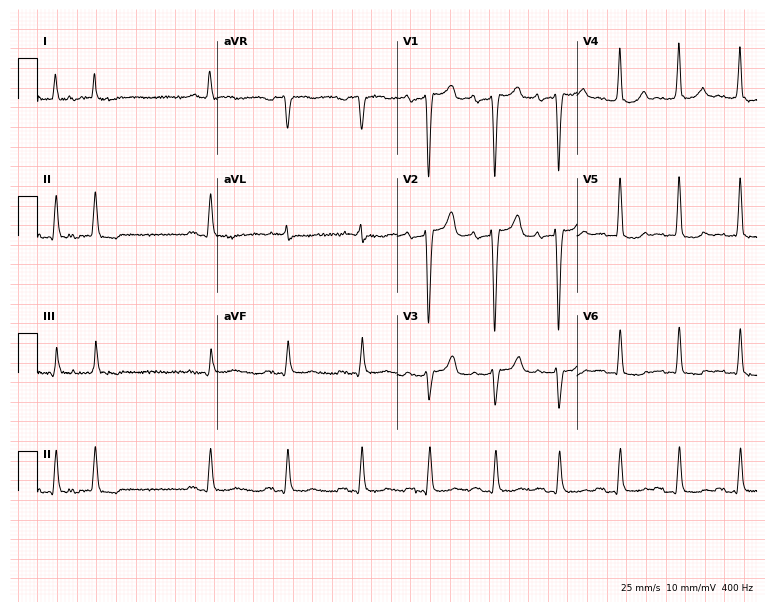
12-lead ECG from an 83-year-old female. Screened for six findings — first-degree AV block, right bundle branch block, left bundle branch block, sinus bradycardia, atrial fibrillation, sinus tachycardia — none is recorded. Findings outside these six are not listed.